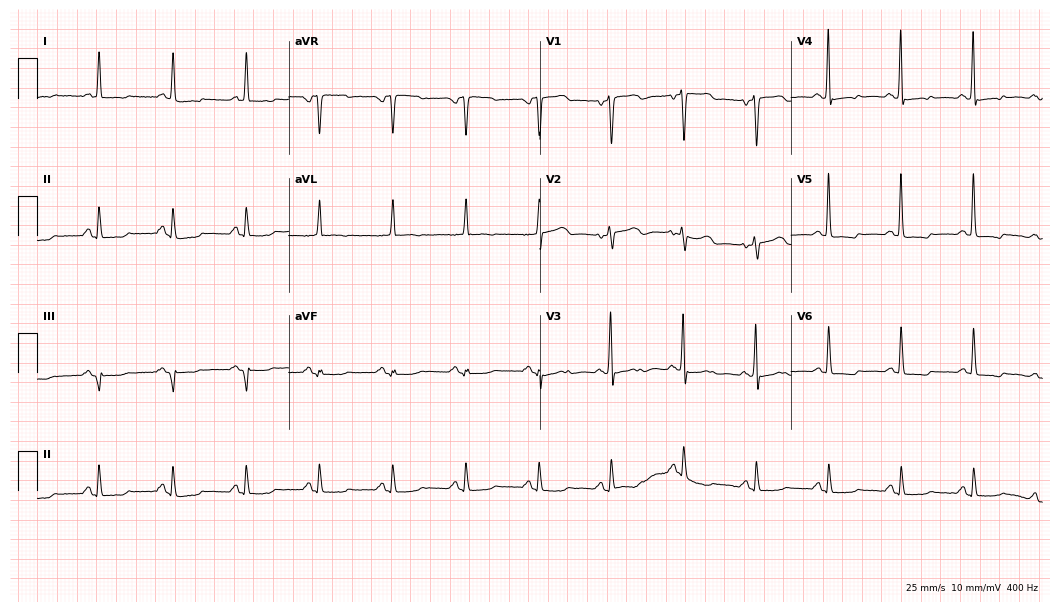
Resting 12-lead electrocardiogram. Patient: a female, 77 years old. None of these six findings is recorded: first-degree AV block, right bundle branch block (RBBB), left bundle branch block (LBBB), sinus bradycardia, atrial fibrillation (AF), sinus tachycardia. Findings outside these six are not listed.